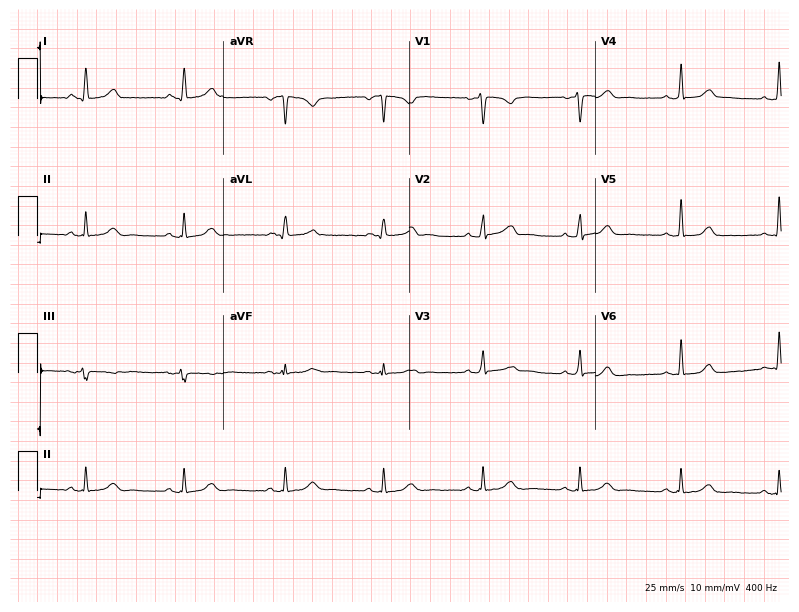
12-lead ECG from a woman, 36 years old. Screened for six findings — first-degree AV block, right bundle branch block (RBBB), left bundle branch block (LBBB), sinus bradycardia, atrial fibrillation (AF), sinus tachycardia — none is recorded. Other findings, if any, are not listed.